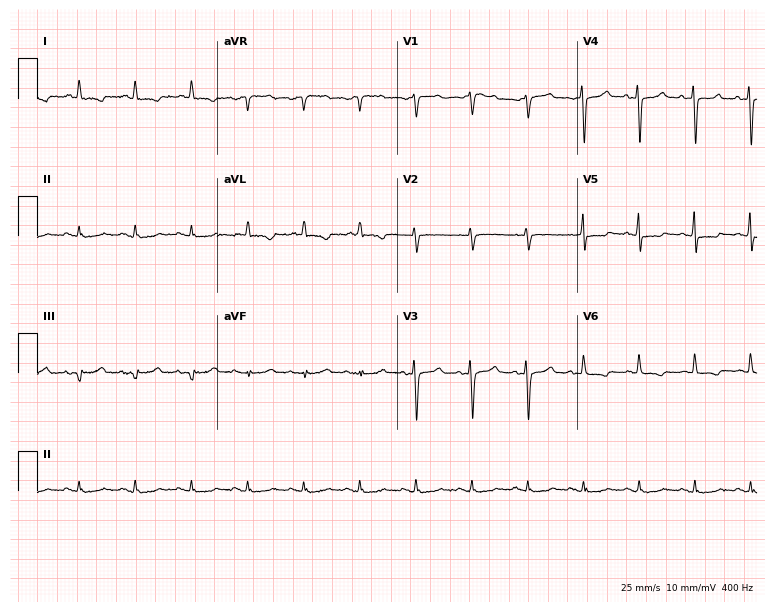
Resting 12-lead electrocardiogram (7.3-second recording at 400 Hz). Patient: an 81-year-old female. The tracing shows sinus tachycardia (a sinus rate of 100 beats per minute or more).